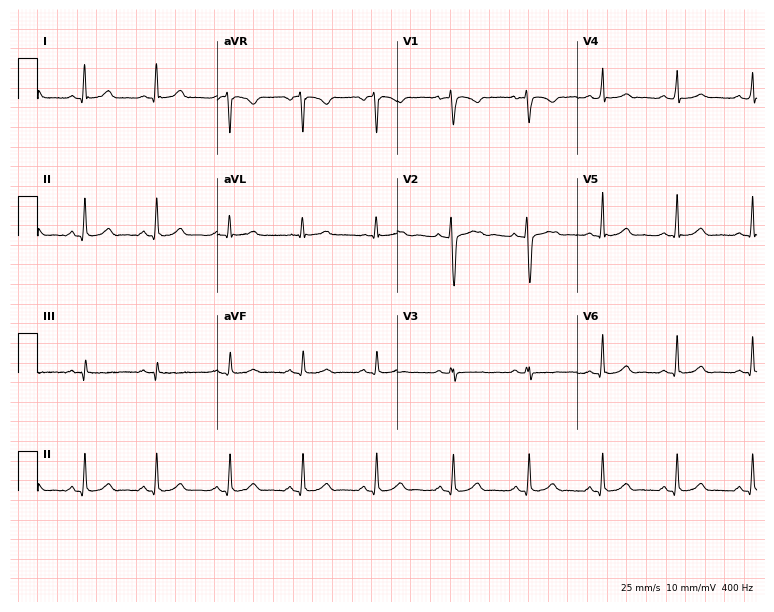
Electrocardiogram (7.3-second recording at 400 Hz), a woman, 31 years old. Overall reading on record: normal ECG.